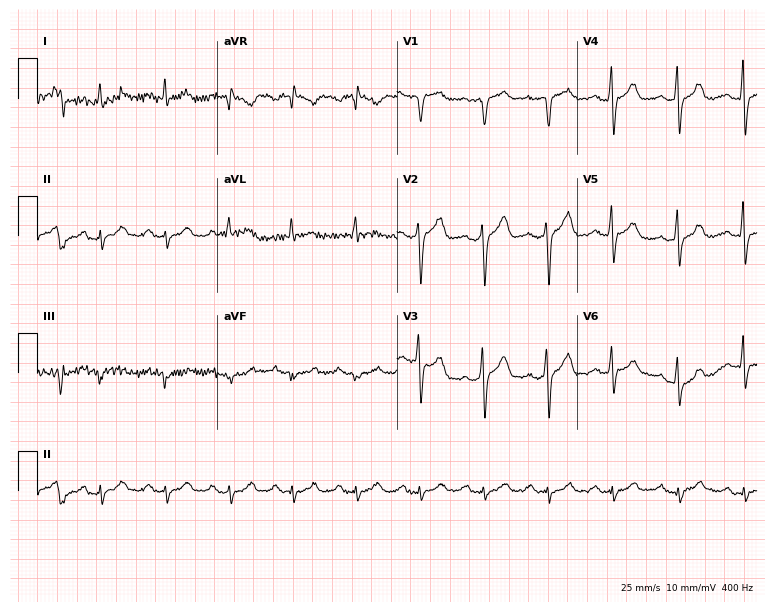
12-lead ECG from a 56-year-old man. Screened for six findings — first-degree AV block, right bundle branch block, left bundle branch block, sinus bradycardia, atrial fibrillation, sinus tachycardia — none is recorded. Only these six findings were labelled.